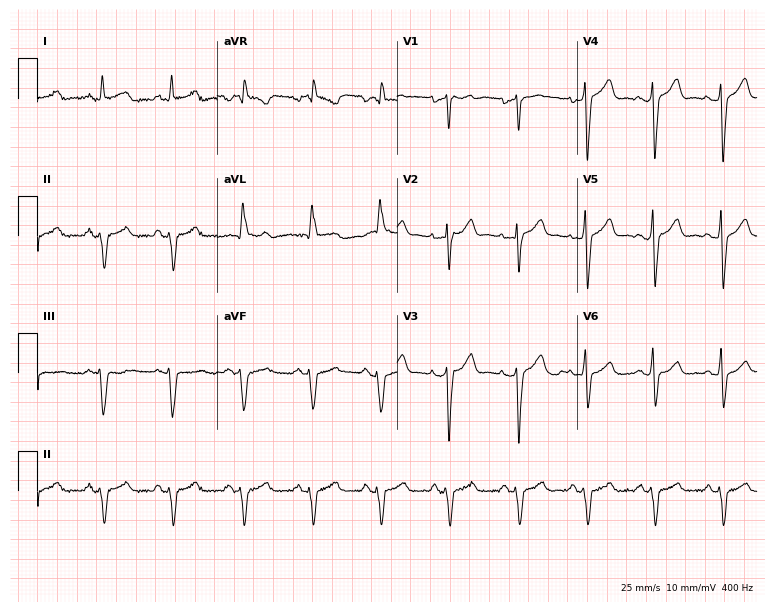
Electrocardiogram (7.3-second recording at 400 Hz), a 57-year-old male patient. Of the six screened findings (first-degree AV block, right bundle branch block, left bundle branch block, sinus bradycardia, atrial fibrillation, sinus tachycardia), none is recorded. Other findings, if any, are not listed.